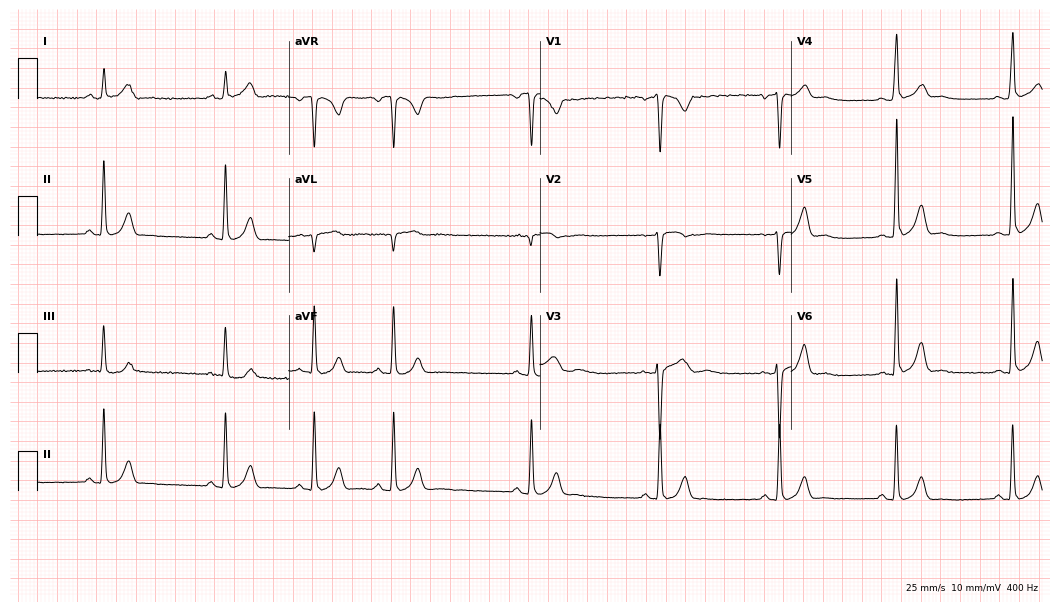
Standard 12-lead ECG recorded from a 24-year-old female. Read as a normal ECG.